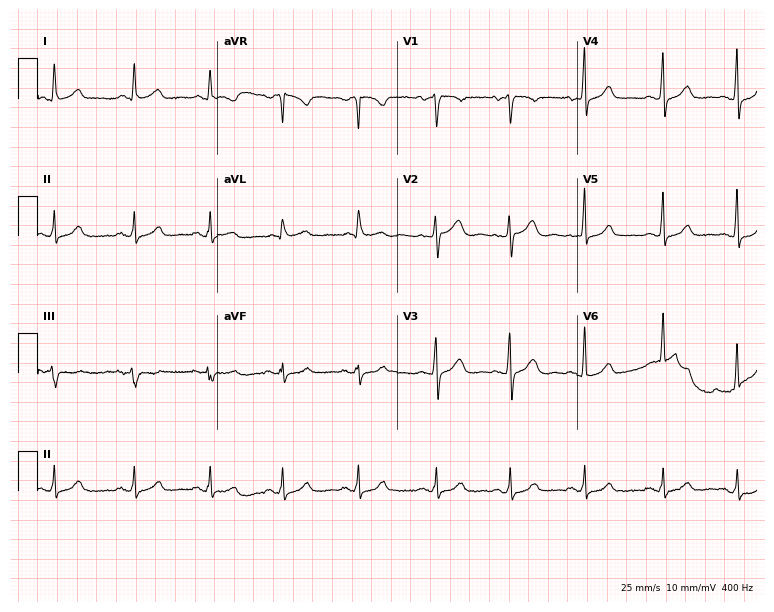
Standard 12-lead ECG recorded from a woman, 41 years old (7.3-second recording at 400 Hz). Read as a normal ECG.